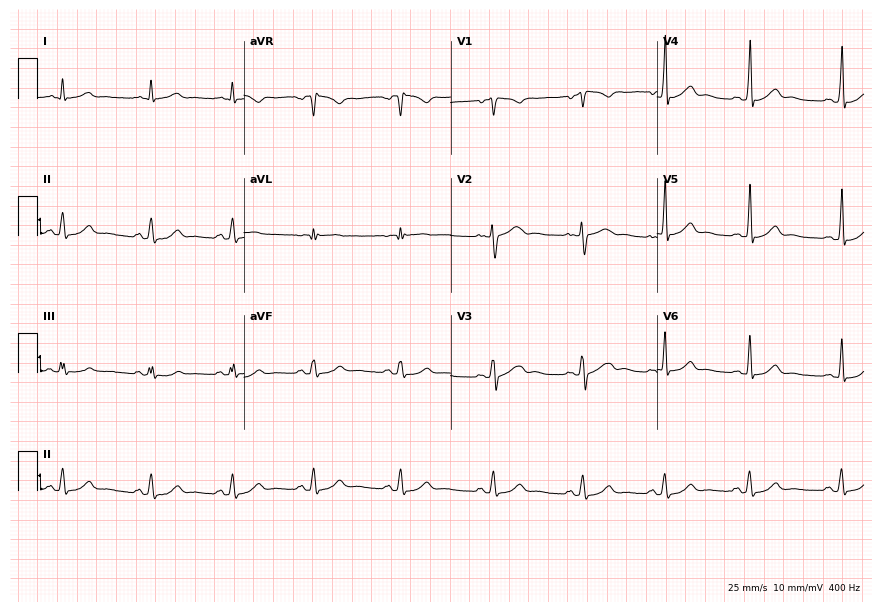
12-lead ECG from a 21-year-old female patient. Labelled as a normal ECG.